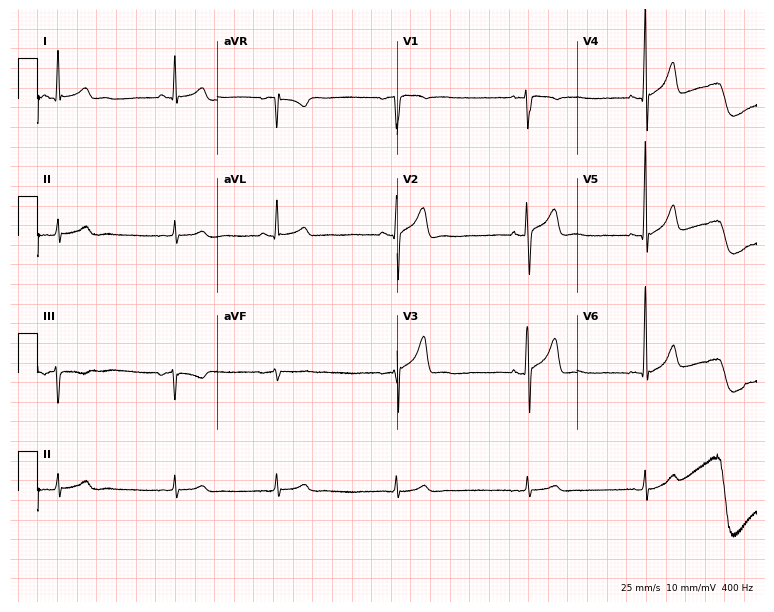
Resting 12-lead electrocardiogram. Patient: a 24-year-old man. Read as a normal ECG.